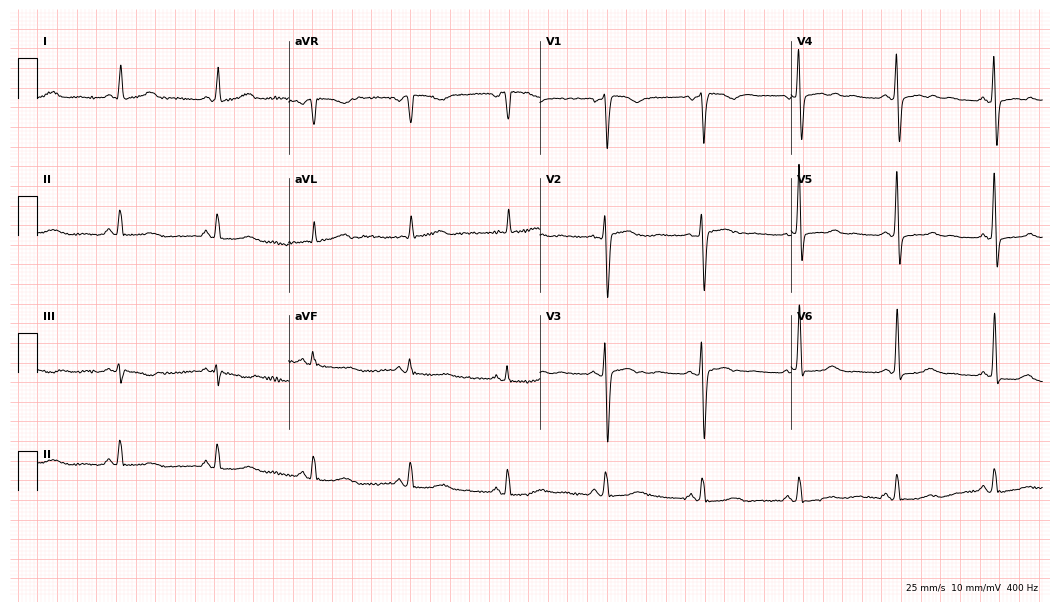
Electrocardiogram, a 65-year-old female. Of the six screened findings (first-degree AV block, right bundle branch block, left bundle branch block, sinus bradycardia, atrial fibrillation, sinus tachycardia), none is recorded.